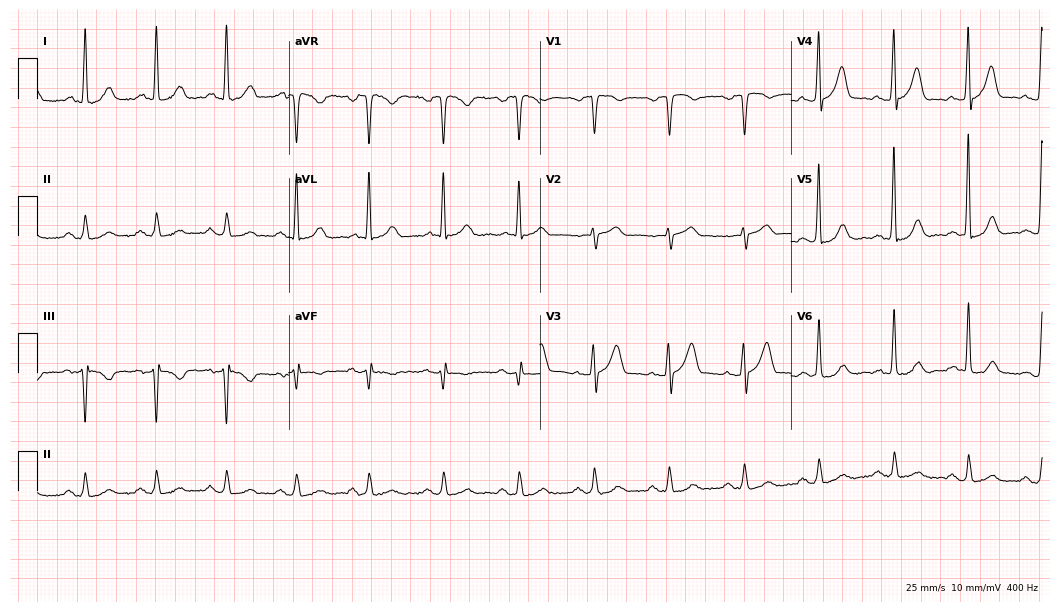
Resting 12-lead electrocardiogram. Patient: a 74-year-old male. None of these six findings is recorded: first-degree AV block, right bundle branch block (RBBB), left bundle branch block (LBBB), sinus bradycardia, atrial fibrillation (AF), sinus tachycardia.